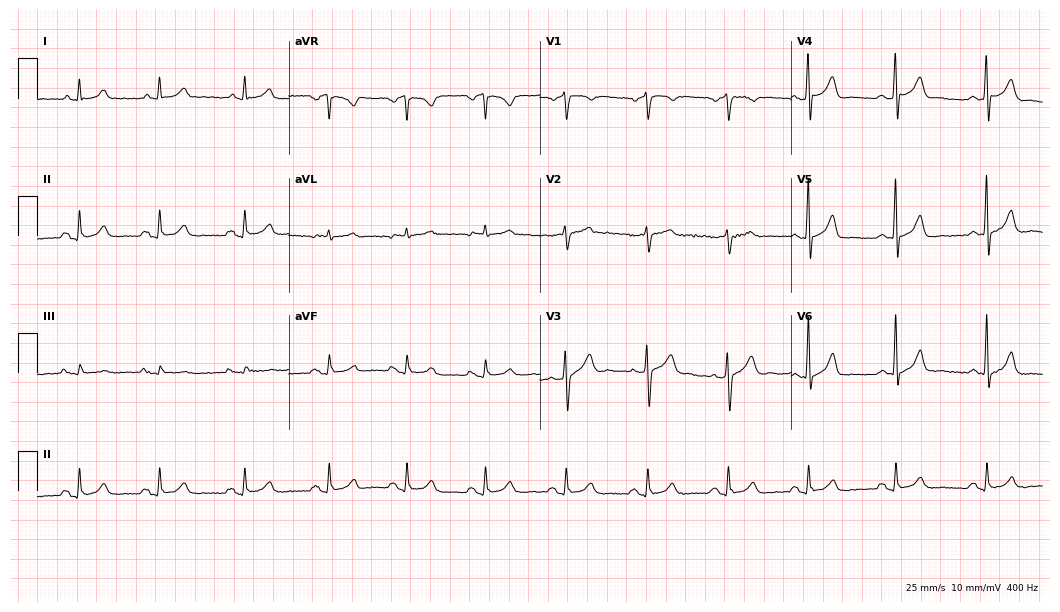
12-lead ECG from a man, 60 years old. Recorded interpretation: within normal limits.